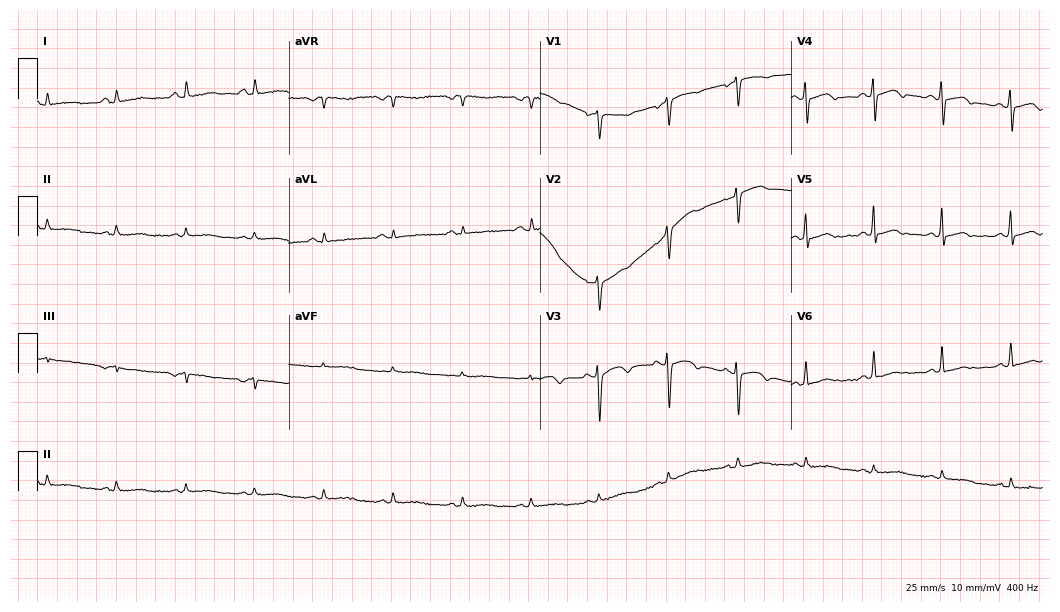
Standard 12-lead ECG recorded from a woman, 77 years old (10.2-second recording at 400 Hz). None of these six findings is recorded: first-degree AV block, right bundle branch block (RBBB), left bundle branch block (LBBB), sinus bradycardia, atrial fibrillation (AF), sinus tachycardia.